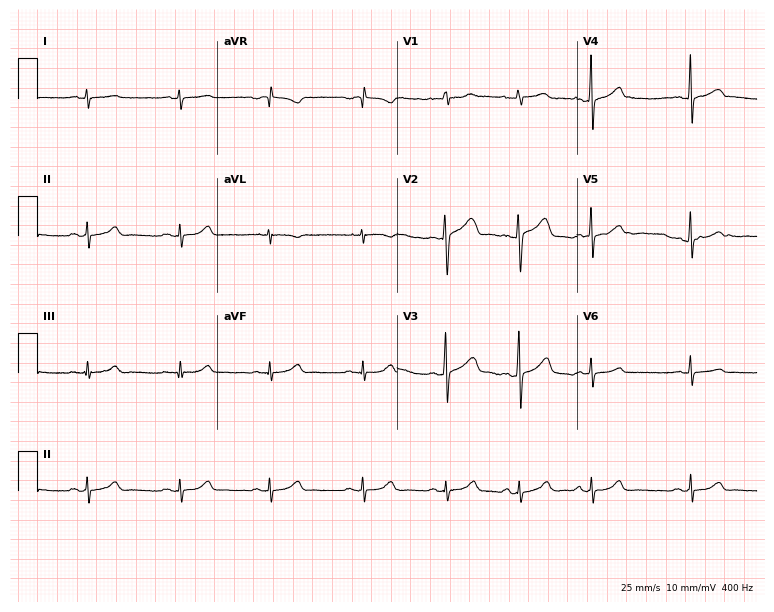
12-lead ECG from a 22-year-old female patient. Screened for six findings — first-degree AV block, right bundle branch block, left bundle branch block, sinus bradycardia, atrial fibrillation, sinus tachycardia — none is recorded. Other findings, if any, are not listed.